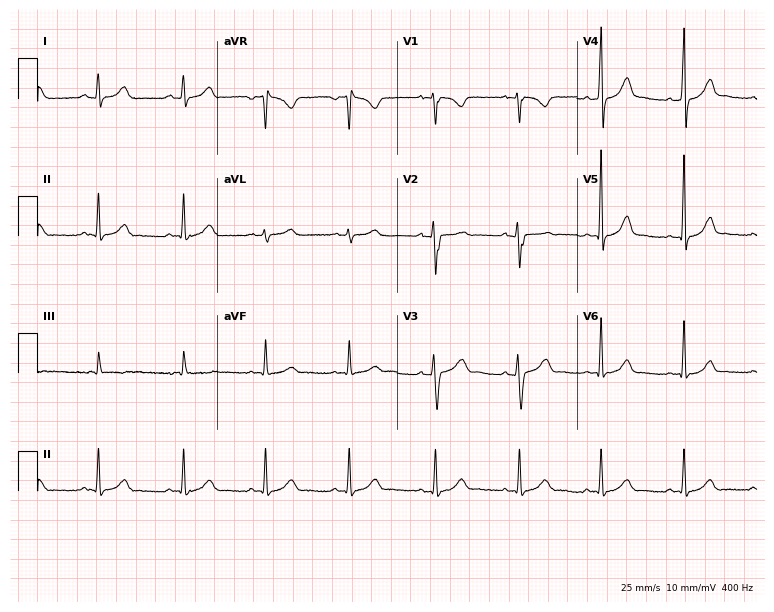
ECG — a woman, 22 years old. Labelled as a normal ECG.